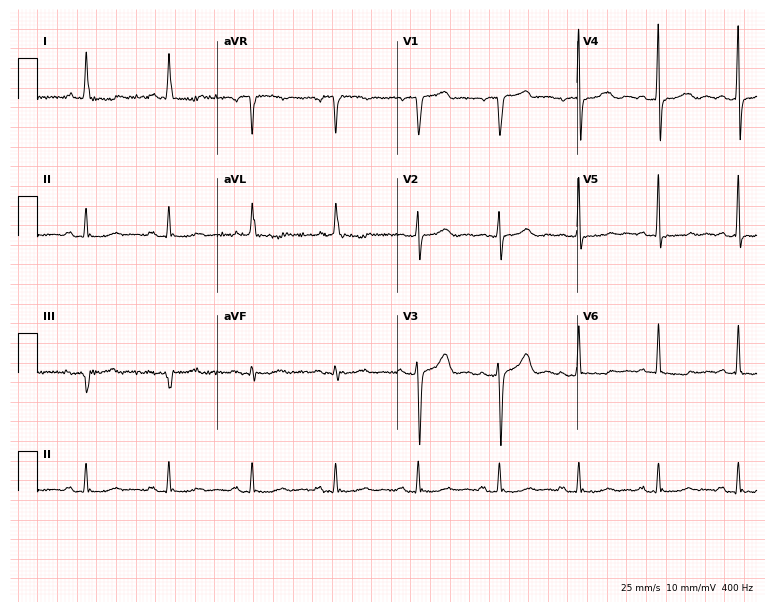
Electrocardiogram, a 56-year-old female. Of the six screened findings (first-degree AV block, right bundle branch block (RBBB), left bundle branch block (LBBB), sinus bradycardia, atrial fibrillation (AF), sinus tachycardia), none is recorded. Only these six findings were labelled.